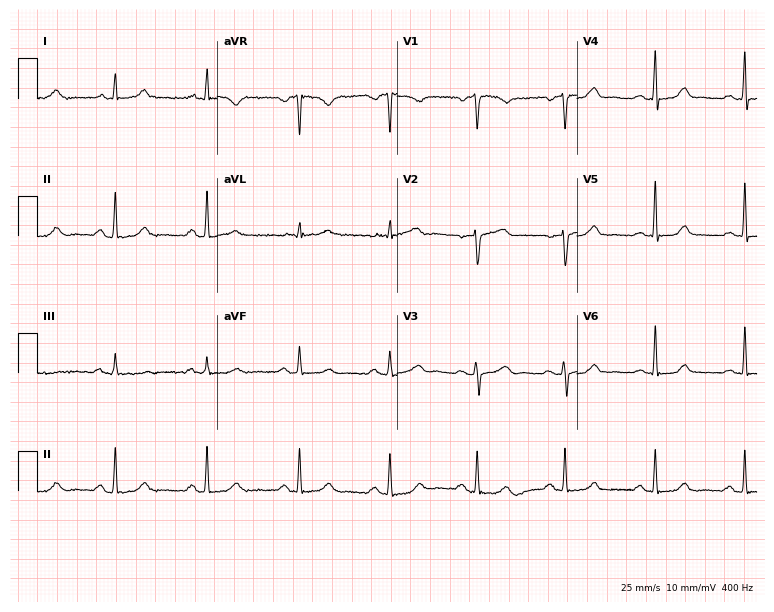
Electrocardiogram, a 53-year-old female patient. Overall reading on record: normal ECG.